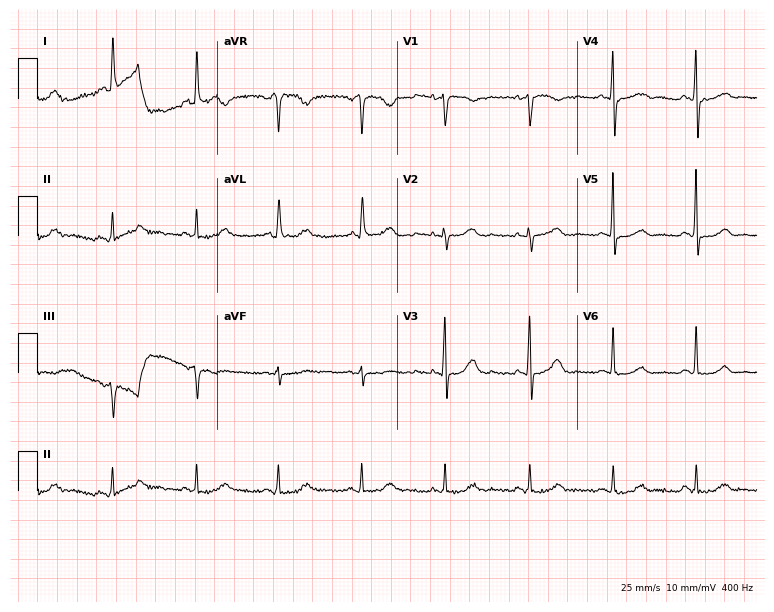
Standard 12-lead ECG recorded from a female patient, 65 years old (7.3-second recording at 400 Hz). None of these six findings is recorded: first-degree AV block, right bundle branch block, left bundle branch block, sinus bradycardia, atrial fibrillation, sinus tachycardia.